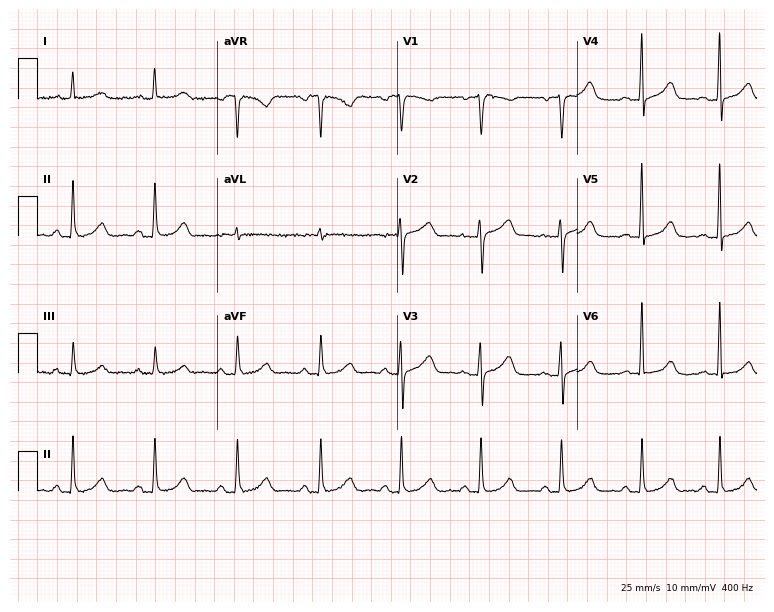
Electrocardiogram, a 45-year-old woman. Overall reading on record: normal ECG.